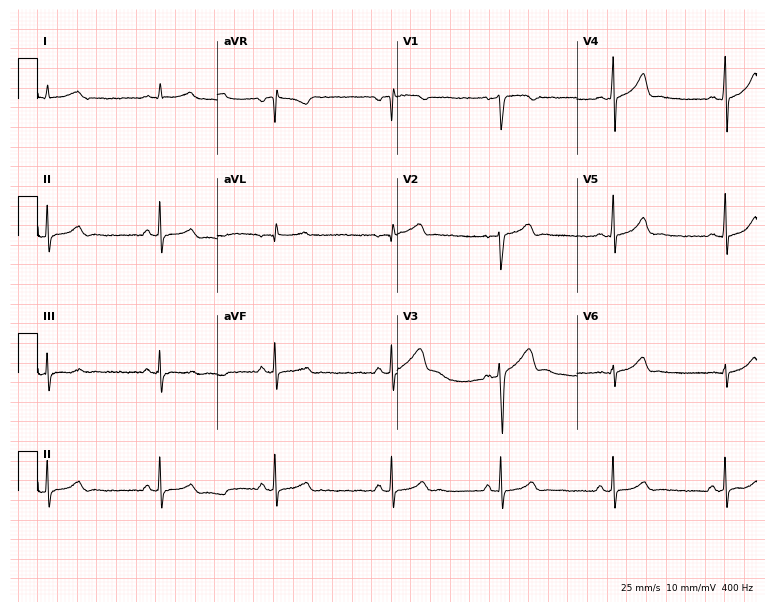
Resting 12-lead electrocardiogram (7.3-second recording at 400 Hz). Patient: a male, 25 years old. Read as a normal ECG.